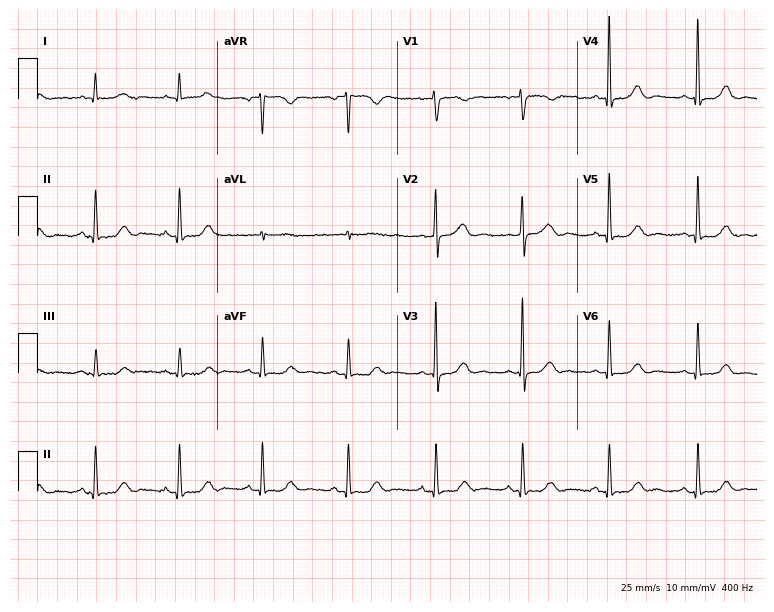
12-lead ECG (7.3-second recording at 400 Hz) from a 52-year-old woman. Labelled as a normal ECG.